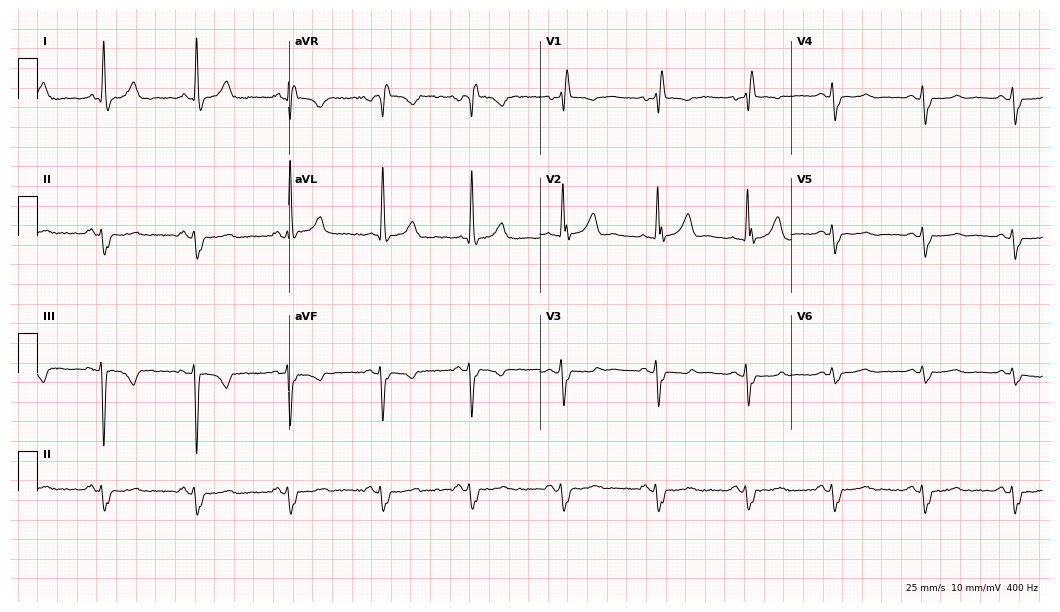
ECG — a female, 70 years old. Screened for six findings — first-degree AV block, right bundle branch block, left bundle branch block, sinus bradycardia, atrial fibrillation, sinus tachycardia — none is recorded.